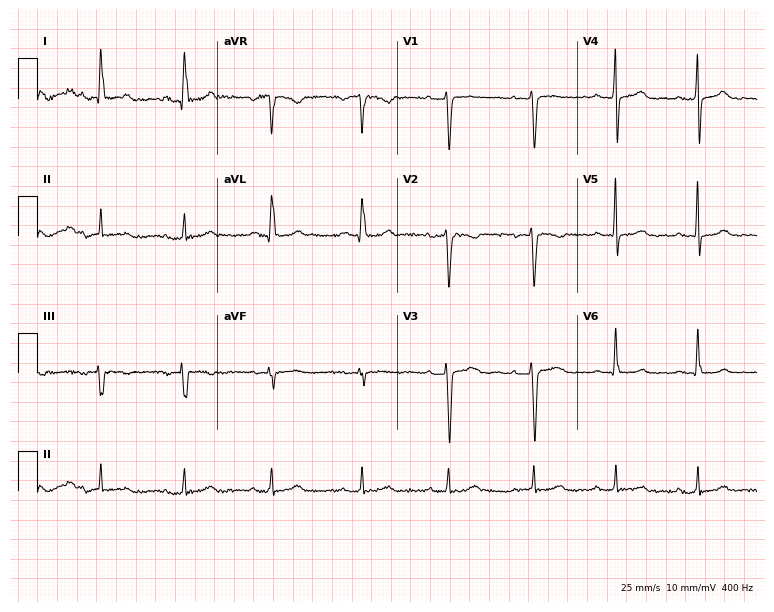
Electrocardiogram (7.3-second recording at 400 Hz), a woman, 30 years old. Of the six screened findings (first-degree AV block, right bundle branch block (RBBB), left bundle branch block (LBBB), sinus bradycardia, atrial fibrillation (AF), sinus tachycardia), none is recorded. Other findings, if any, are not listed.